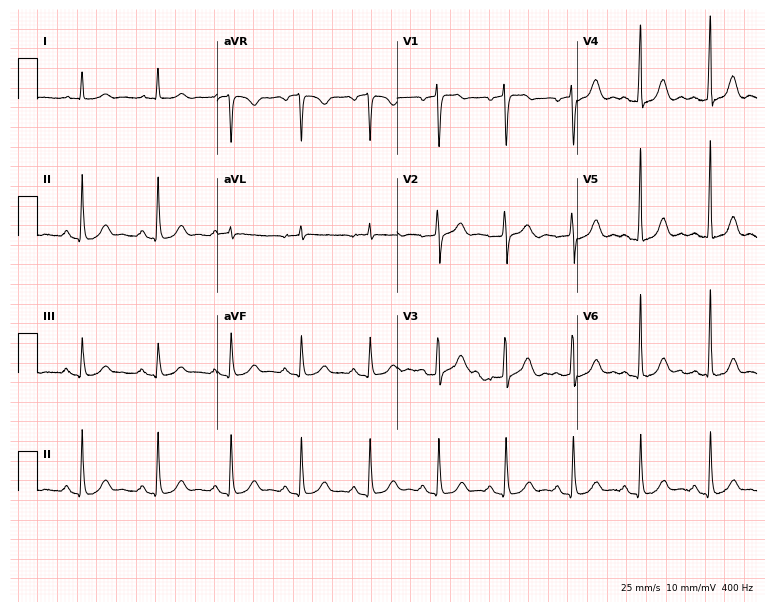
12-lead ECG from a 61-year-old man. Labelled as a normal ECG.